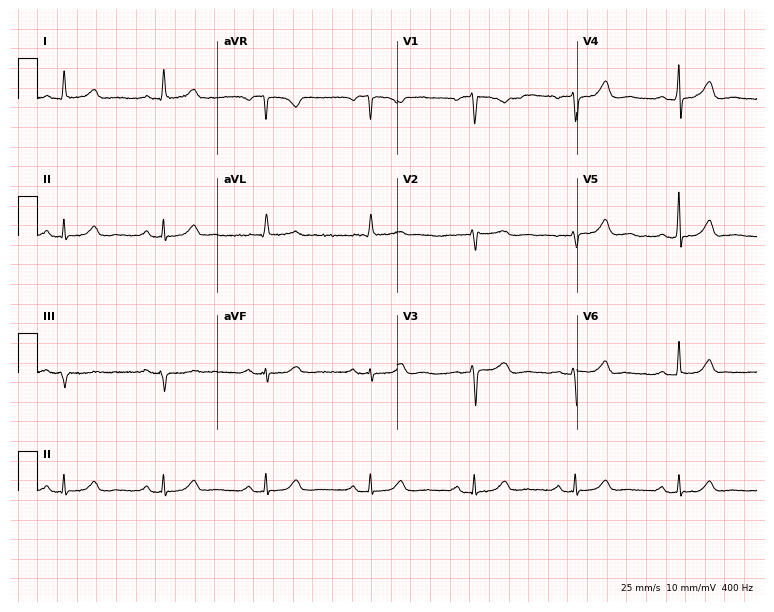
Resting 12-lead electrocardiogram. Patient: a 64-year-old woman. Read as a normal ECG.